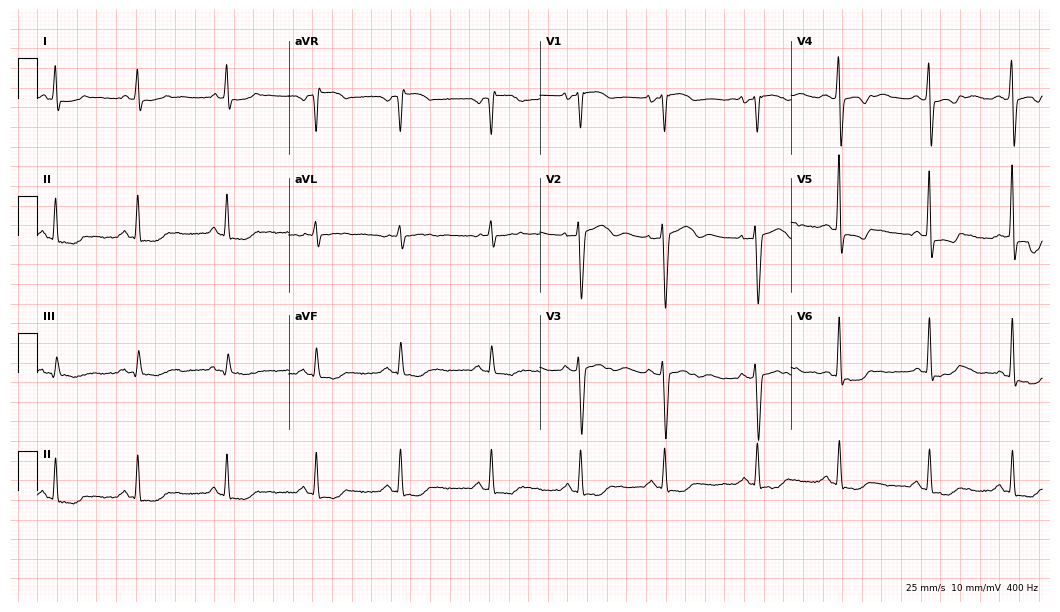
12-lead ECG from a 69-year-old woman. No first-degree AV block, right bundle branch block (RBBB), left bundle branch block (LBBB), sinus bradycardia, atrial fibrillation (AF) or sinus tachycardia recorded for this tracing. Findings outside these six are not listed.